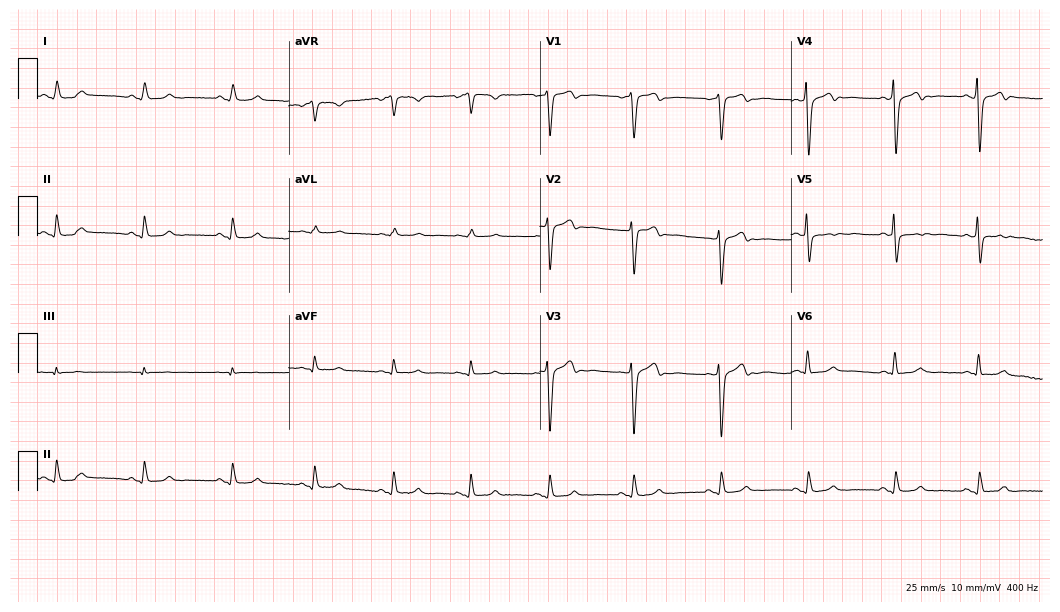
12-lead ECG (10.2-second recording at 400 Hz) from a male, 63 years old. Screened for six findings — first-degree AV block, right bundle branch block (RBBB), left bundle branch block (LBBB), sinus bradycardia, atrial fibrillation (AF), sinus tachycardia — none is recorded. Only these six findings were labelled.